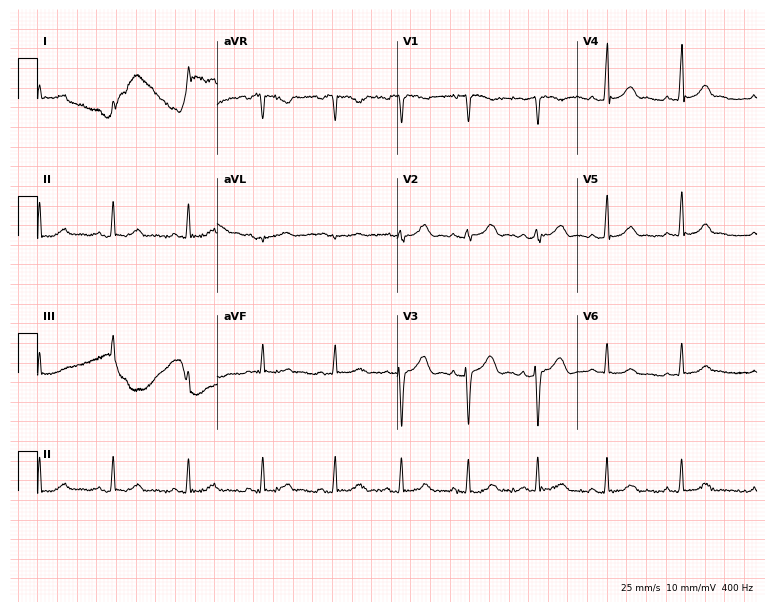
12-lead ECG (7.3-second recording at 400 Hz) from a 21-year-old female patient. Screened for six findings — first-degree AV block, right bundle branch block, left bundle branch block, sinus bradycardia, atrial fibrillation, sinus tachycardia — none is recorded. Other findings, if any, are not listed.